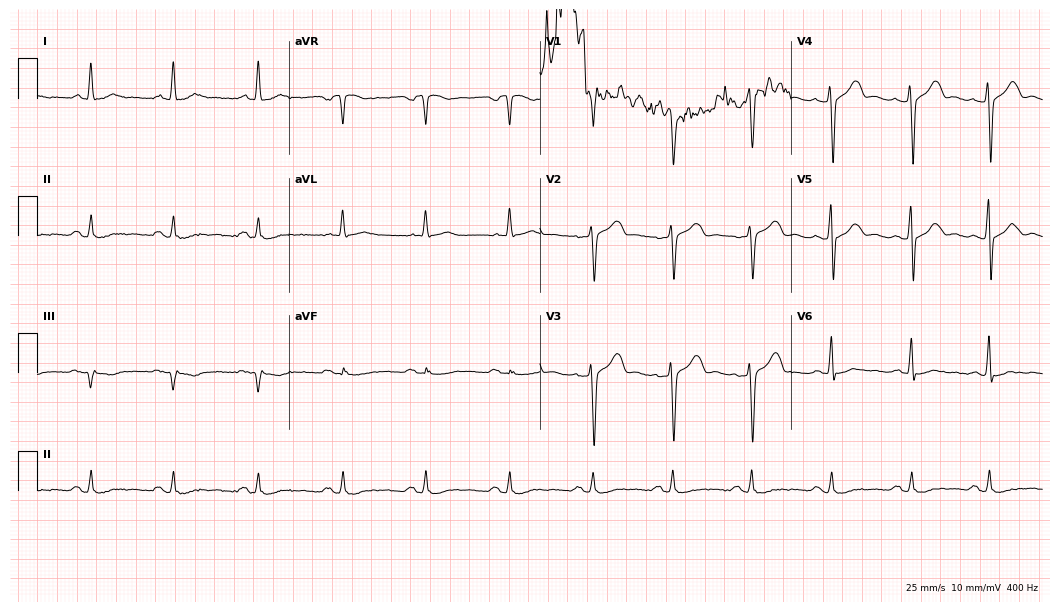
ECG (10.2-second recording at 400 Hz) — a 76-year-old male patient. Screened for six findings — first-degree AV block, right bundle branch block, left bundle branch block, sinus bradycardia, atrial fibrillation, sinus tachycardia — none is recorded.